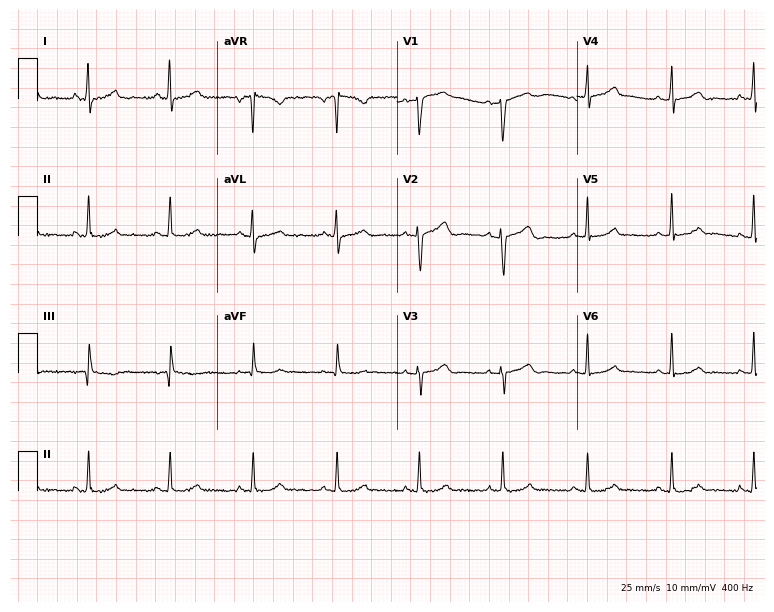
12-lead ECG from a 36-year-old woman. Recorded interpretation: within normal limits.